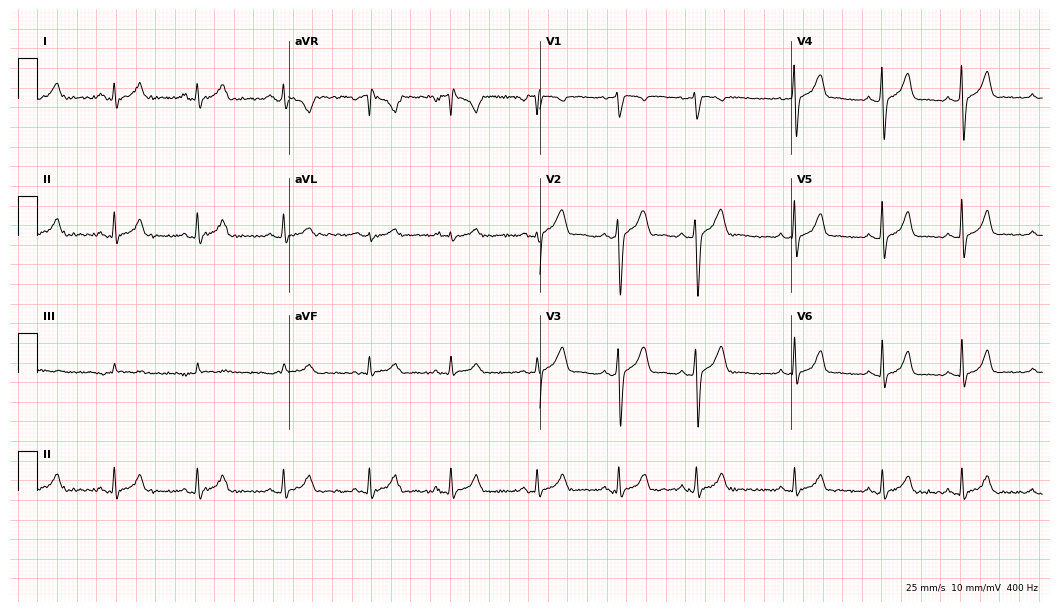
ECG (10.2-second recording at 400 Hz) — a male patient, 22 years old. Screened for six findings — first-degree AV block, right bundle branch block (RBBB), left bundle branch block (LBBB), sinus bradycardia, atrial fibrillation (AF), sinus tachycardia — none is recorded.